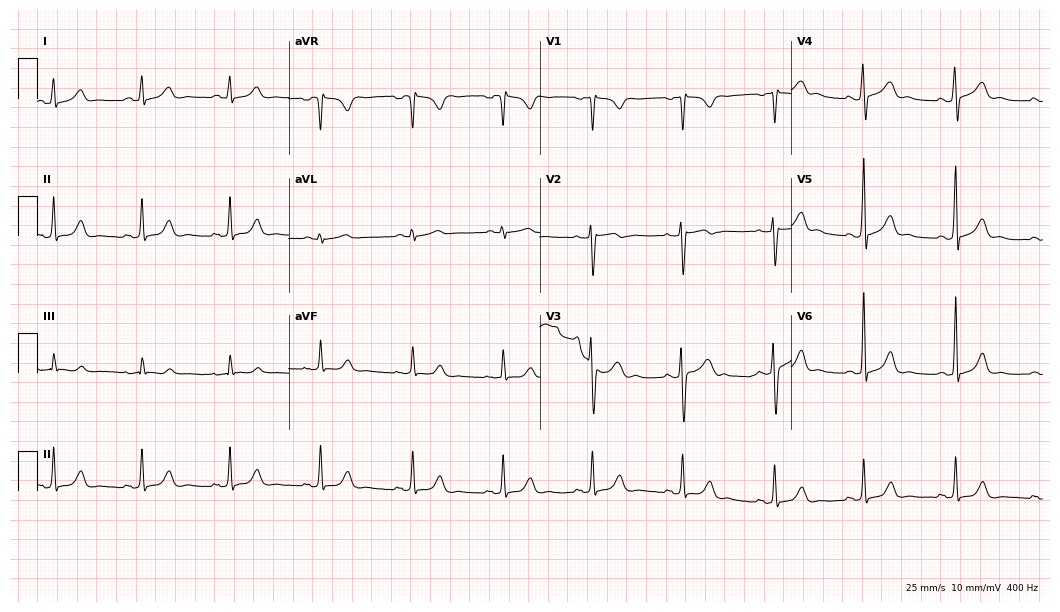
Standard 12-lead ECG recorded from a female, 35 years old. Read as a normal ECG.